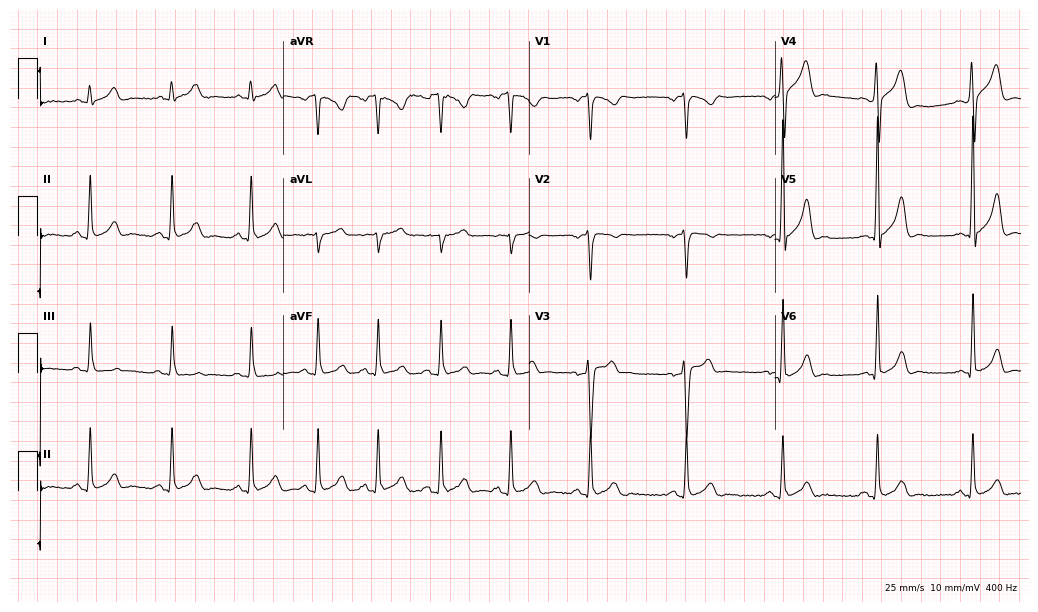
Electrocardiogram, a male, 28 years old. Of the six screened findings (first-degree AV block, right bundle branch block (RBBB), left bundle branch block (LBBB), sinus bradycardia, atrial fibrillation (AF), sinus tachycardia), none is recorded. Other findings, if any, are not listed.